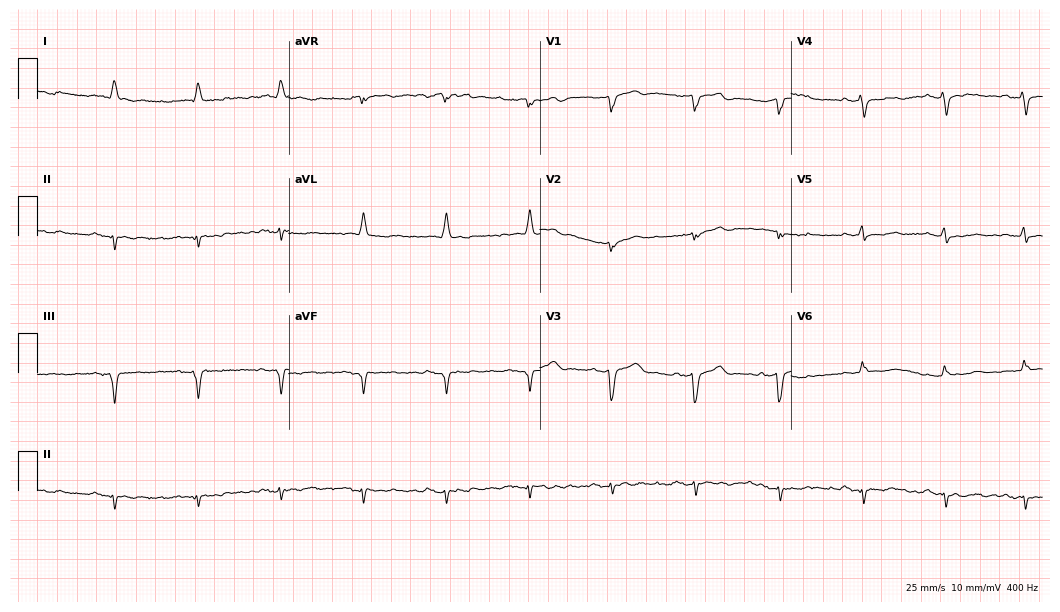
12-lead ECG from an 80-year-old male patient. No first-degree AV block, right bundle branch block (RBBB), left bundle branch block (LBBB), sinus bradycardia, atrial fibrillation (AF) or sinus tachycardia recorded for this tracing. Other findings, if any, are not listed.